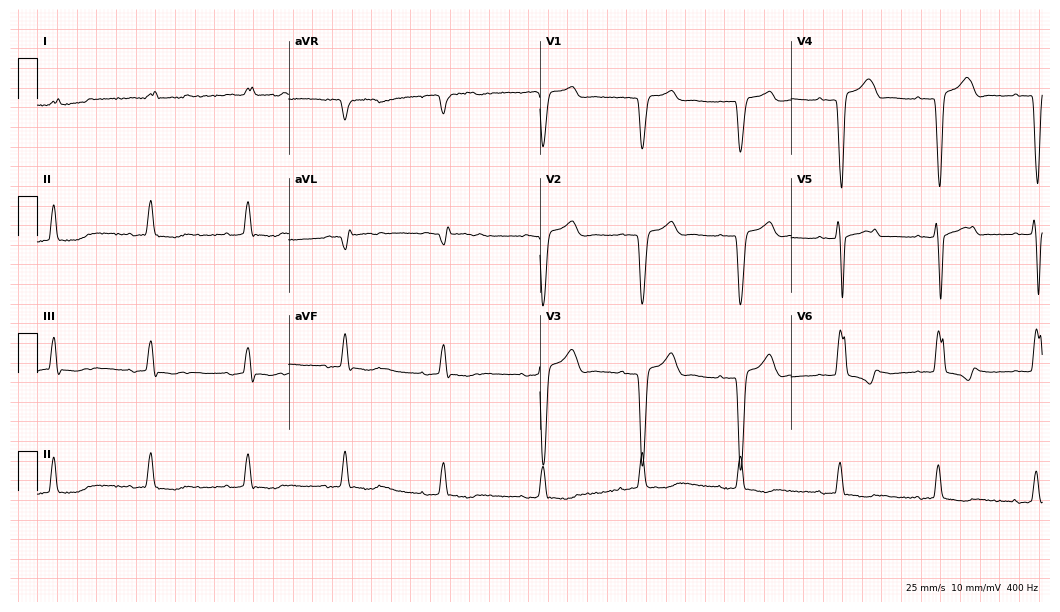
ECG (10.2-second recording at 400 Hz) — a male, 87 years old. Screened for six findings — first-degree AV block, right bundle branch block, left bundle branch block, sinus bradycardia, atrial fibrillation, sinus tachycardia — none is recorded. Findings outside these six are not listed.